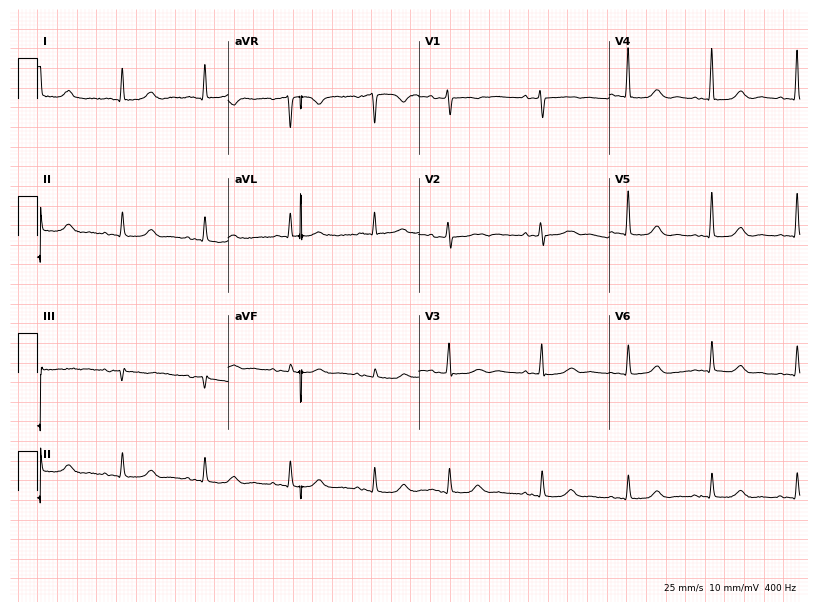
Resting 12-lead electrocardiogram (7.8-second recording at 400 Hz). Patient: an 82-year-old woman. None of these six findings is recorded: first-degree AV block, right bundle branch block, left bundle branch block, sinus bradycardia, atrial fibrillation, sinus tachycardia. Other findings, if any, are not listed.